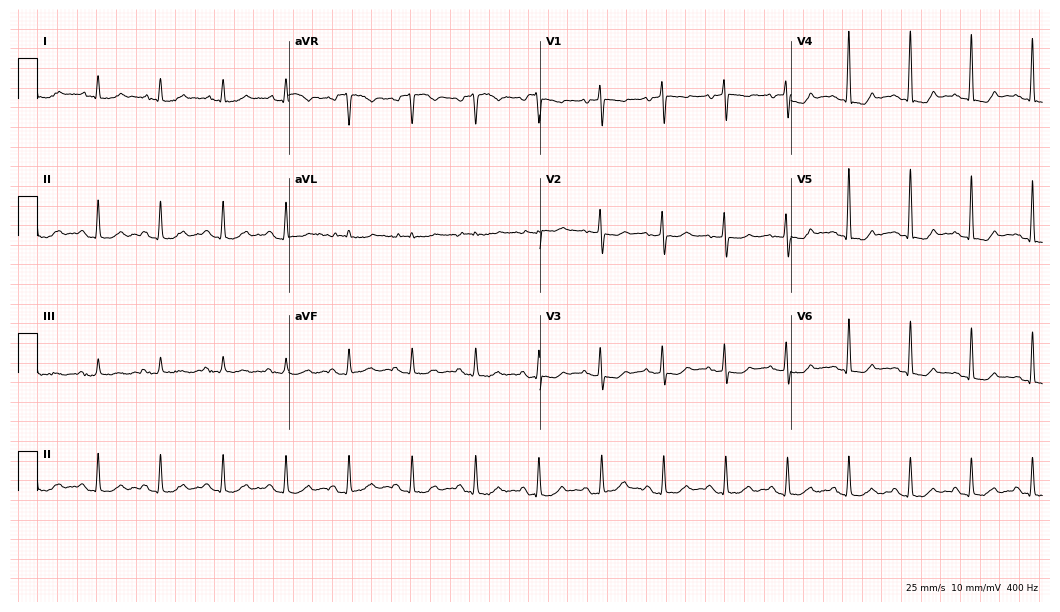
Electrocardiogram (10.2-second recording at 400 Hz), an 82-year-old female patient. Overall reading on record: normal ECG.